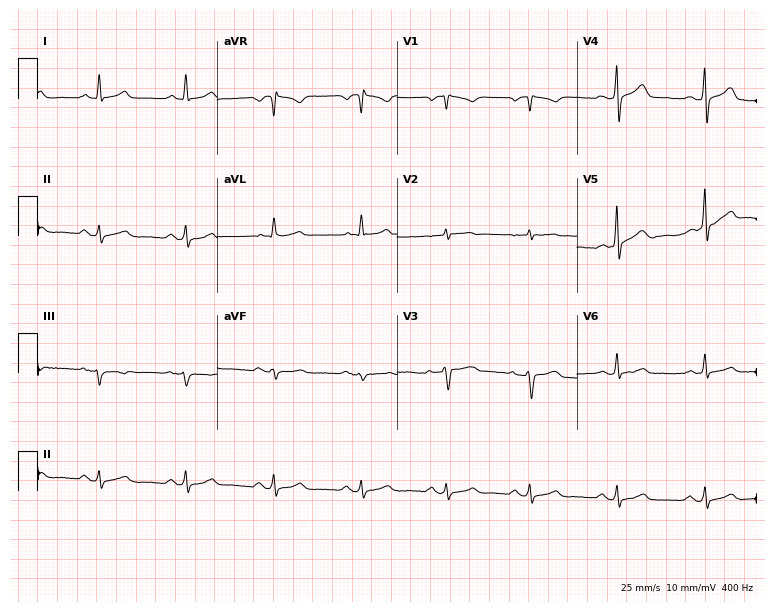
Standard 12-lead ECG recorded from a man, 60 years old. None of these six findings is recorded: first-degree AV block, right bundle branch block, left bundle branch block, sinus bradycardia, atrial fibrillation, sinus tachycardia.